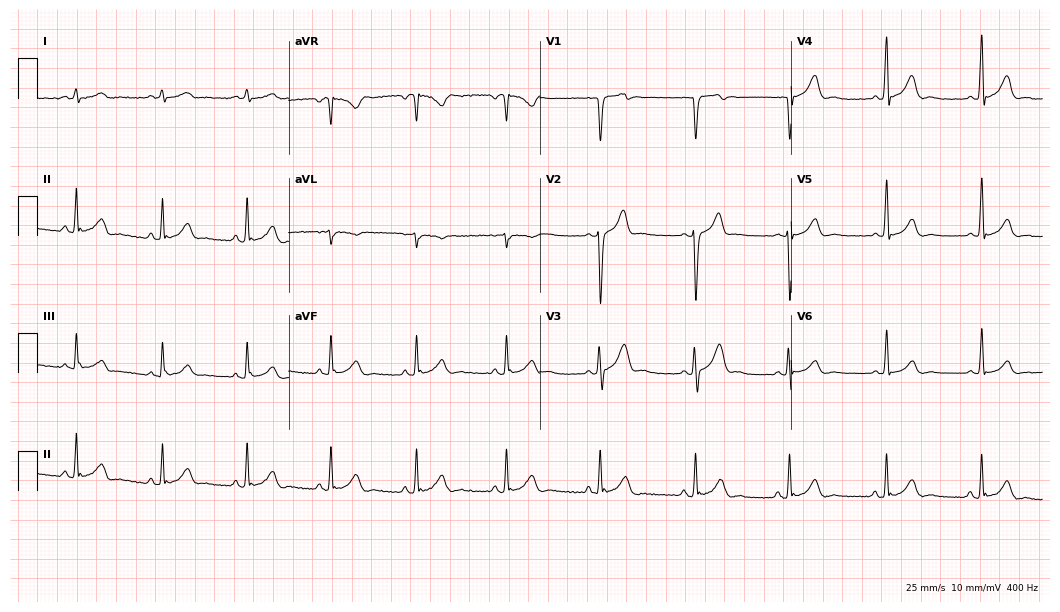
ECG — a male, 23 years old. Labelled as a normal ECG.